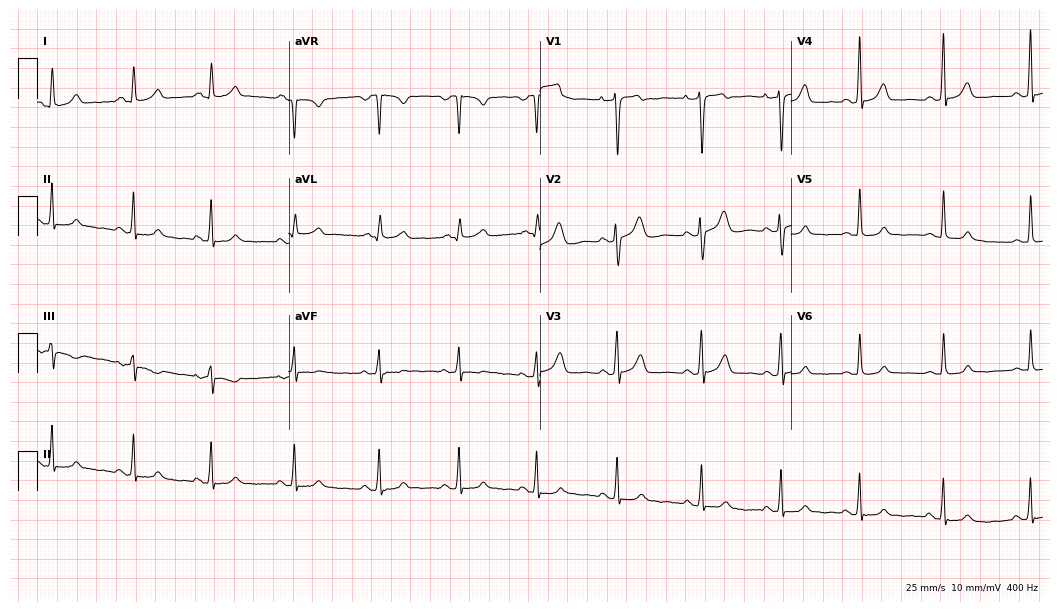
12-lead ECG from a 45-year-old female patient. Recorded interpretation: within normal limits.